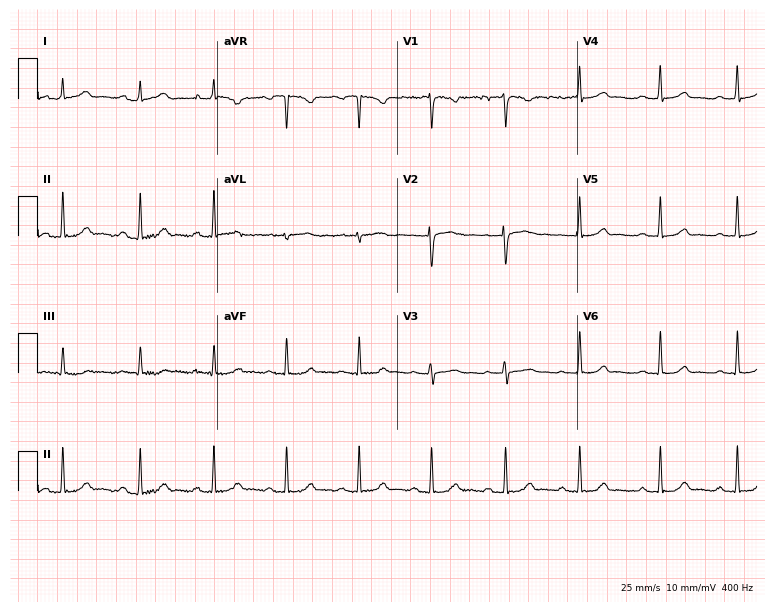
ECG (7.3-second recording at 400 Hz) — a woman, 20 years old. Labelled as a normal ECG.